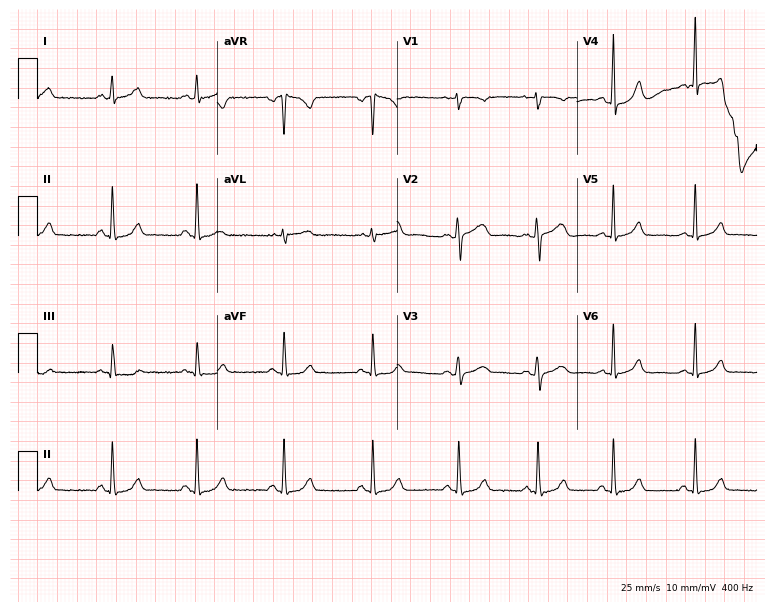
12-lead ECG from a 42-year-old female. Labelled as a normal ECG.